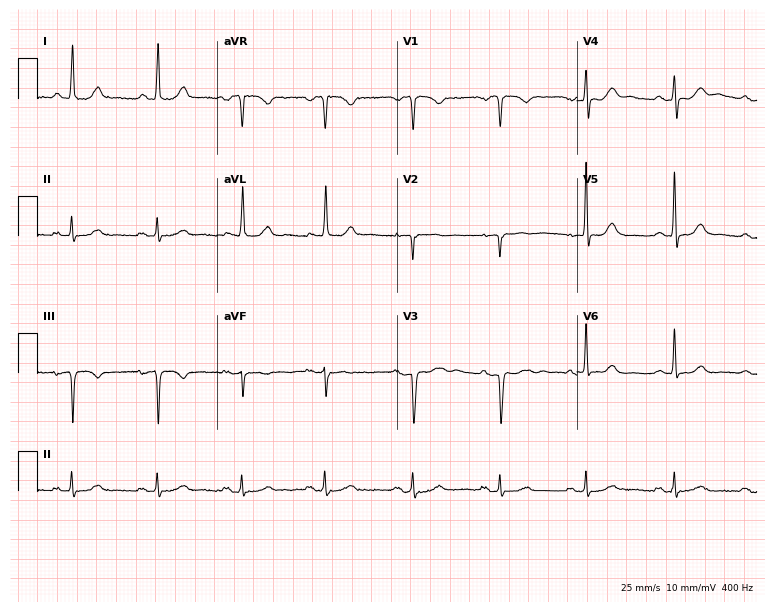
ECG (7.3-second recording at 400 Hz) — a 70-year-old female patient. Labelled as a normal ECG.